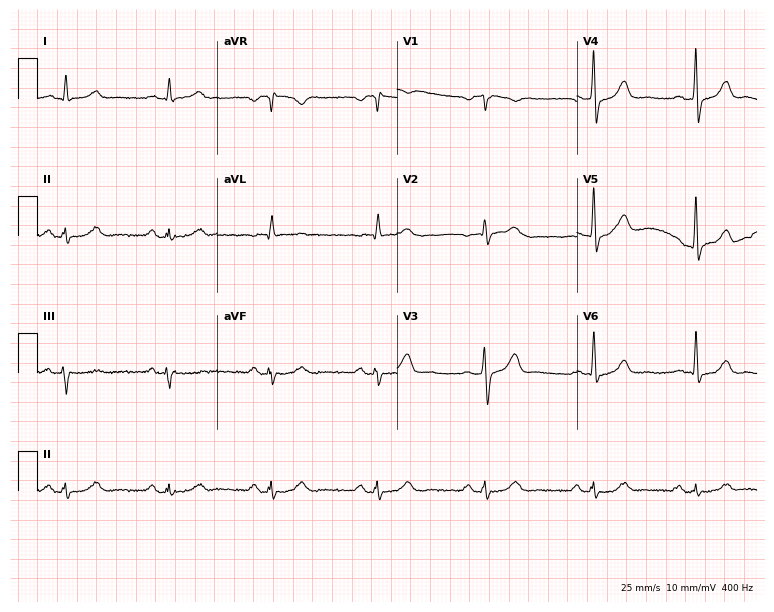
Electrocardiogram (7.3-second recording at 400 Hz), a 63-year-old male. Of the six screened findings (first-degree AV block, right bundle branch block, left bundle branch block, sinus bradycardia, atrial fibrillation, sinus tachycardia), none is recorded.